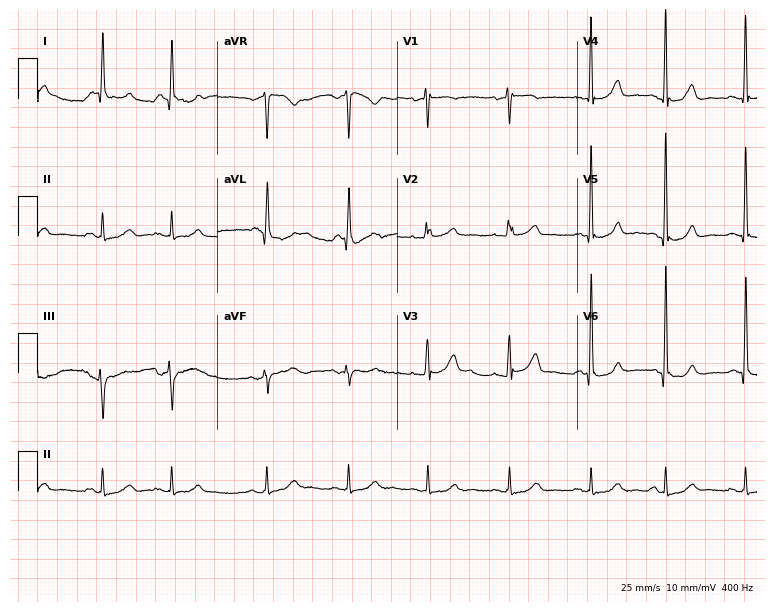
Standard 12-lead ECG recorded from a woman, 72 years old (7.3-second recording at 400 Hz). Read as a normal ECG.